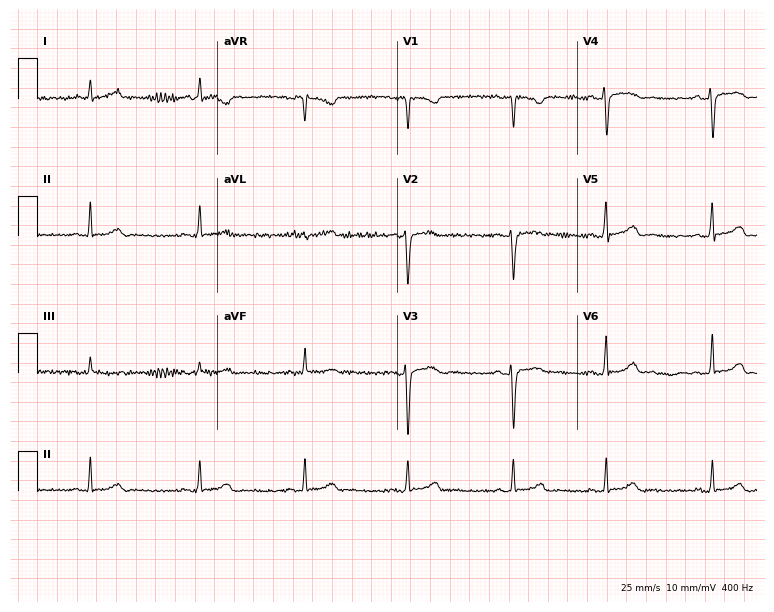
ECG (7.3-second recording at 400 Hz) — a woman, 24 years old. Labelled as a normal ECG.